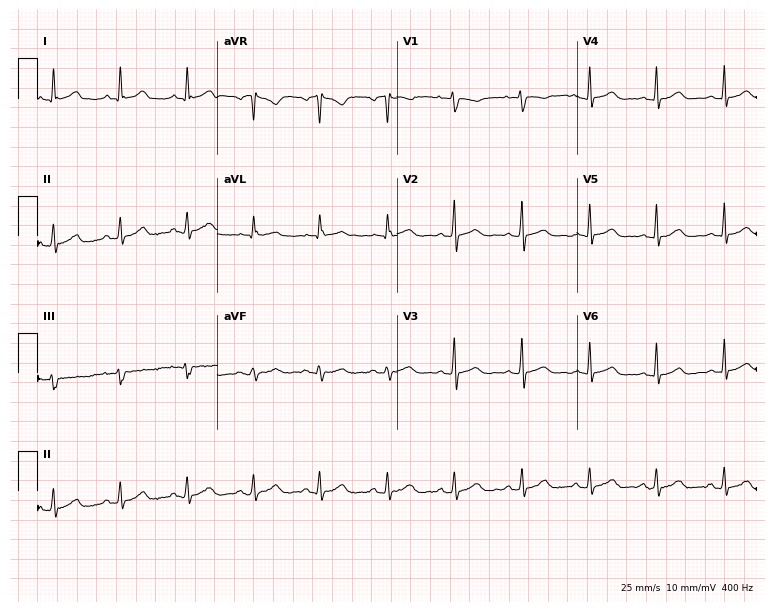
Resting 12-lead electrocardiogram (7.3-second recording at 400 Hz). Patient: a female, 33 years old. None of these six findings is recorded: first-degree AV block, right bundle branch block (RBBB), left bundle branch block (LBBB), sinus bradycardia, atrial fibrillation (AF), sinus tachycardia. Only these six findings were labelled.